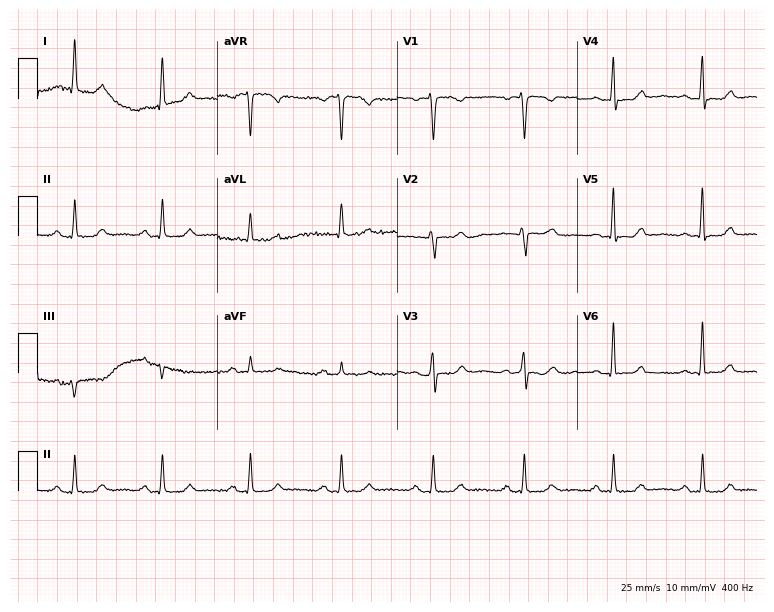
12-lead ECG from a 51-year-old female patient (7.3-second recording at 400 Hz). Recorded interpretation: within normal limits.